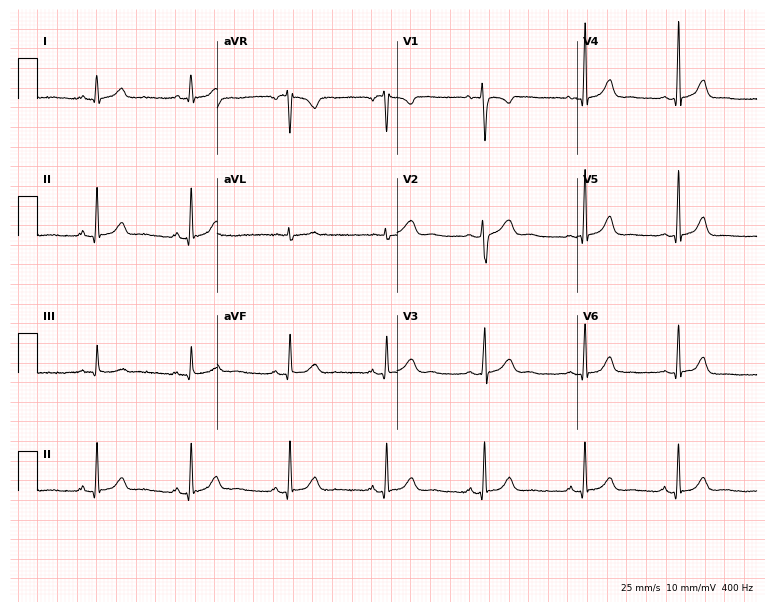
Standard 12-lead ECG recorded from a woman, 29 years old. None of these six findings is recorded: first-degree AV block, right bundle branch block, left bundle branch block, sinus bradycardia, atrial fibrillation, sinus tachycardia. Other findings, if any, are not listed.